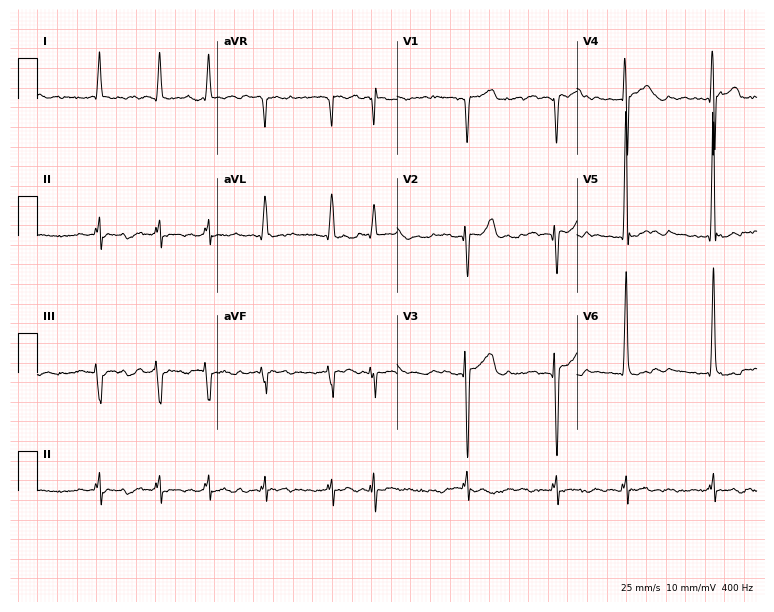
ECG (7.3-second recording at 400 Hz) — a male patient, 69 years old. Findings include atrial fibrillation (AF).